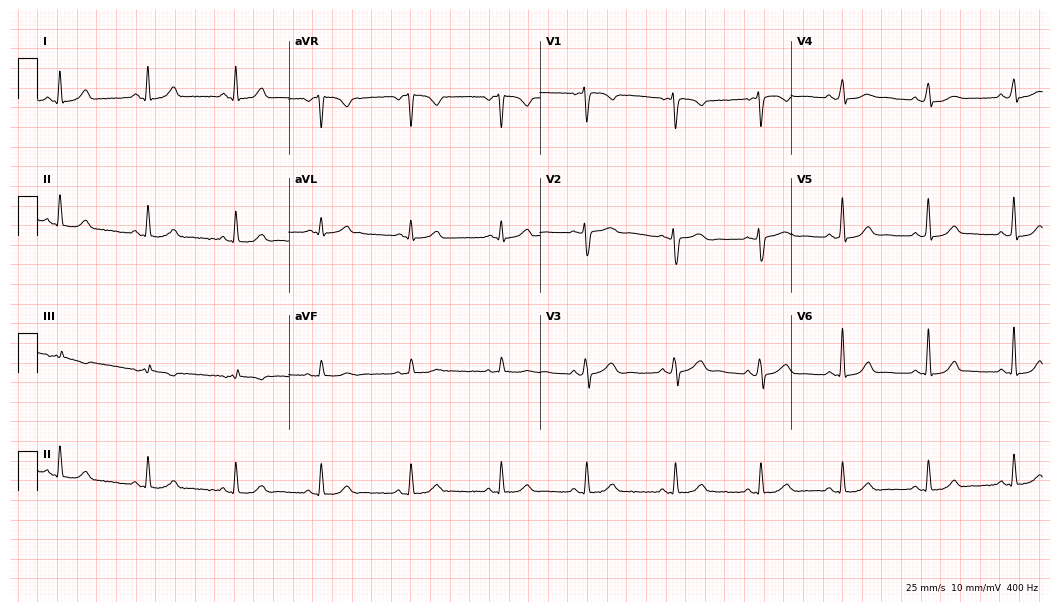
Electrocardiogram, a 33-year-old female. Overall reading on record: normal ECG.